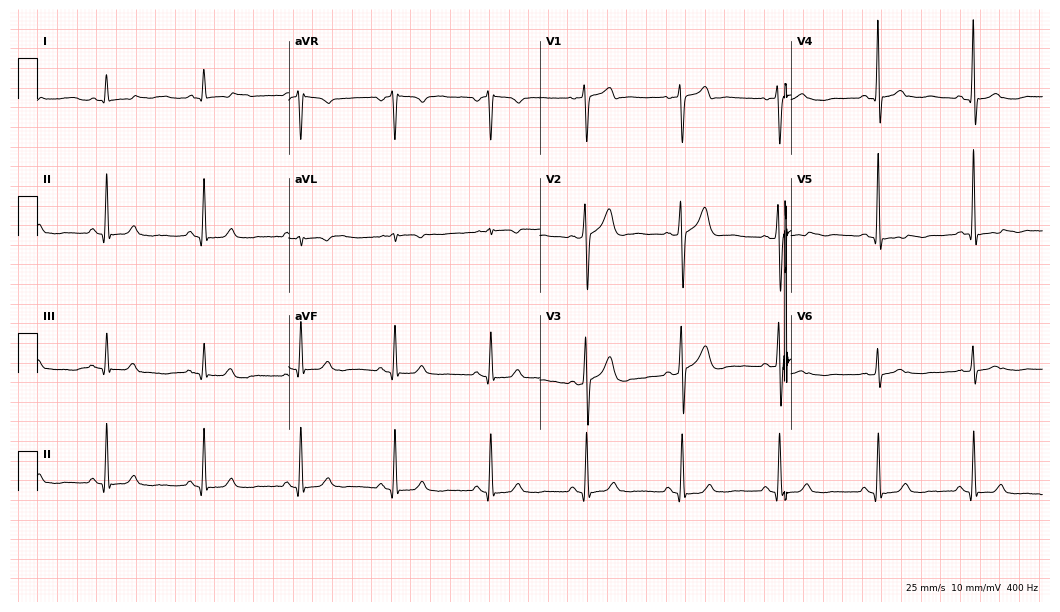
12-lead ECG from a 37-year-old male. No first-degree AV block, right bundle branch block, left bundle branch block, sinus bradycardia, atrial fibrillation or sinus tachycardia recorded for this tracing.